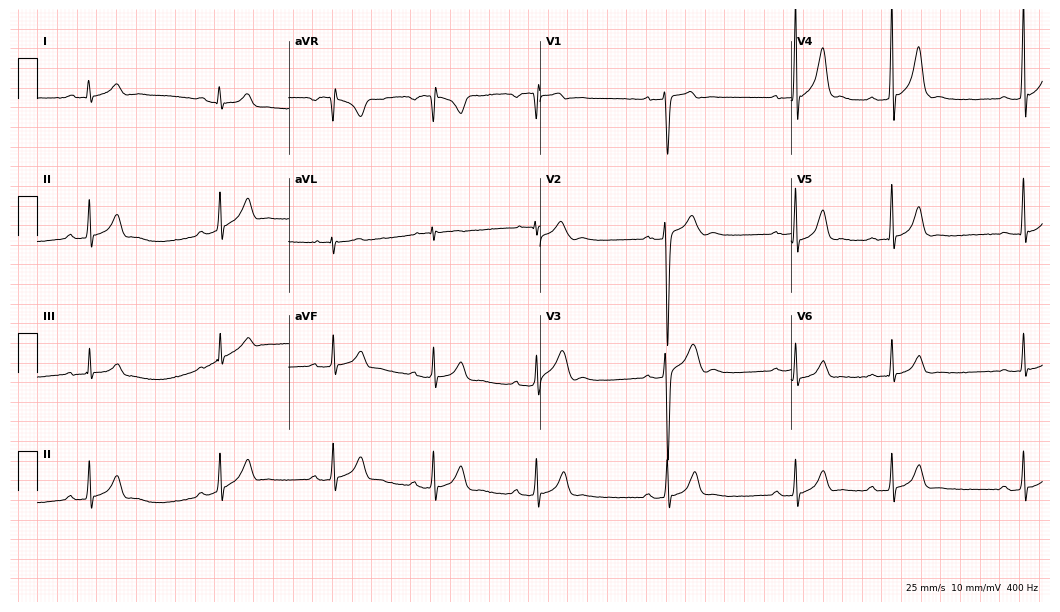
12-lead ECG (10.2-second recording at 400 Hz) from a male, 25 years old. Screened for six findings — first-degree AV block, right bundle branch block, left bundle branch block, sinus bradycardia, atrial fibrillation, sinus tachycardia — none is recorded. Only these six findings were labelled.